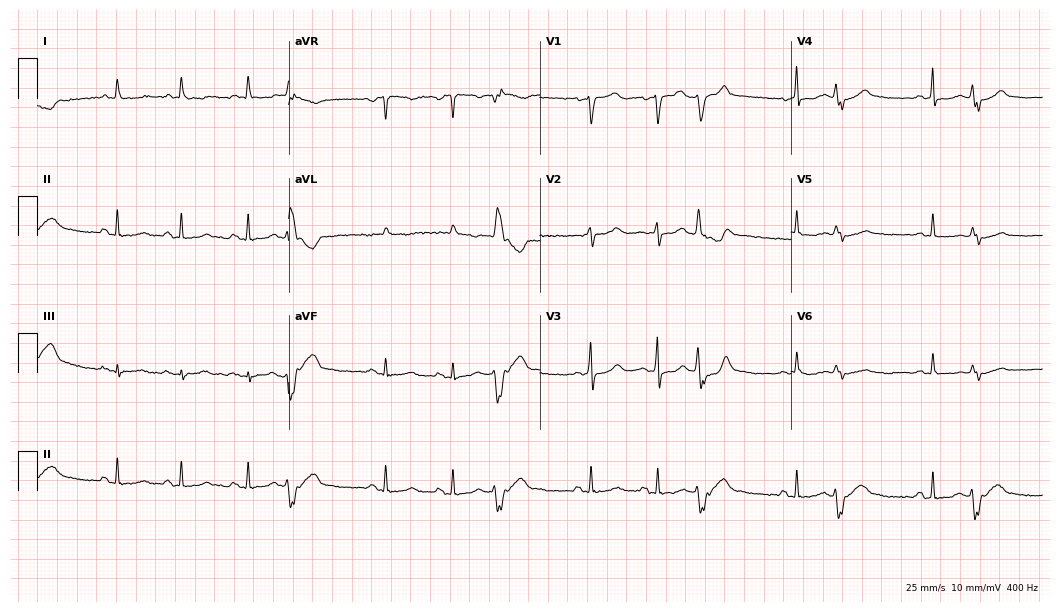
12-lead ECG from a woman, 65 years old. No first-degree AV block, right bundle branch block (RBBB), left bundle branch block (LBBB), sinus bradycardia, atrial fibrillation (AF) or sinus tachycardia recorded for this tracing.